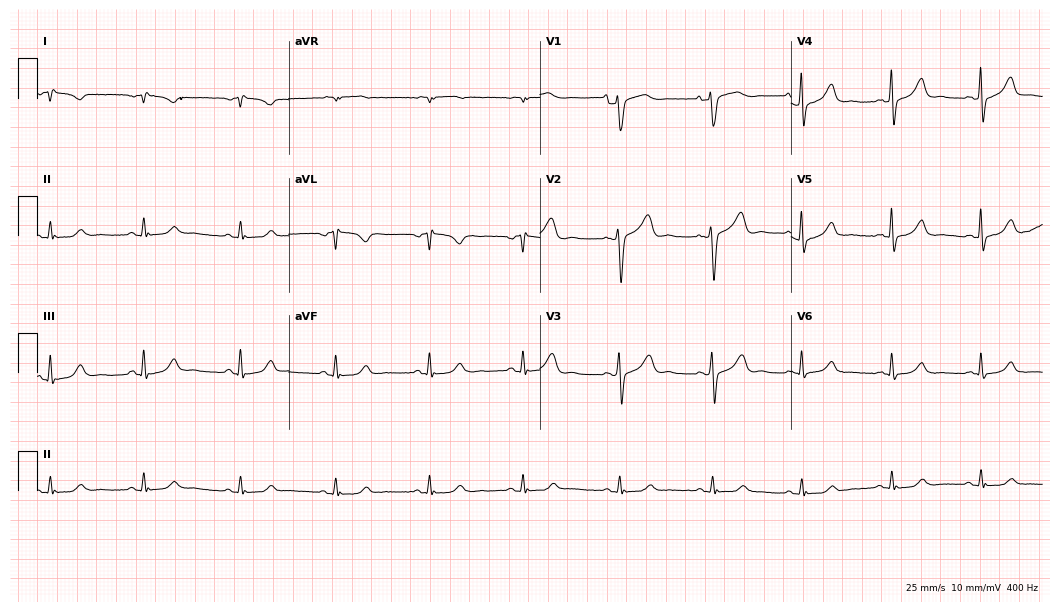
Electrocardiogram, a woman, 59 years old. Of the six screened findings (first-degree AV block, right bundle branch block, left bundle branch block, sinus bradycardia, atrial fibrillation, sinus tachycardia), none is recorded.